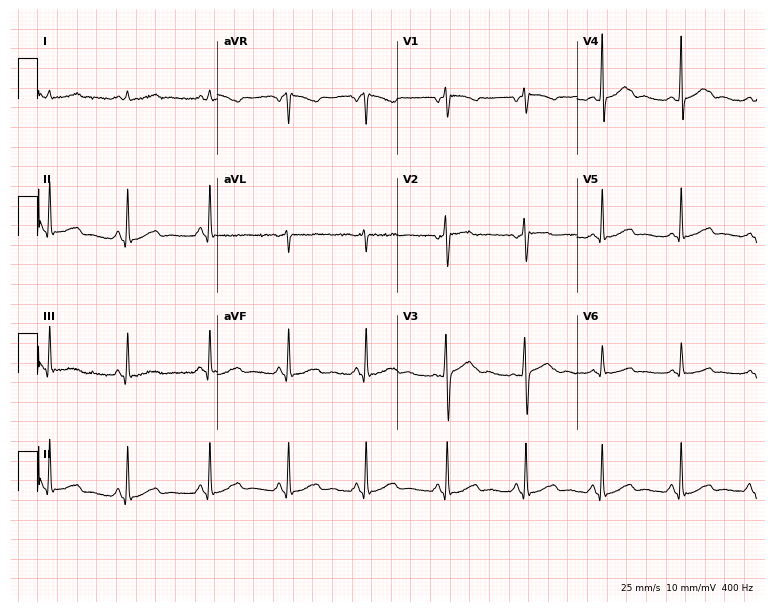
Resting 12-lead electrocardiogram. Patient: a 43-year-old female. Read as a normal ECG.